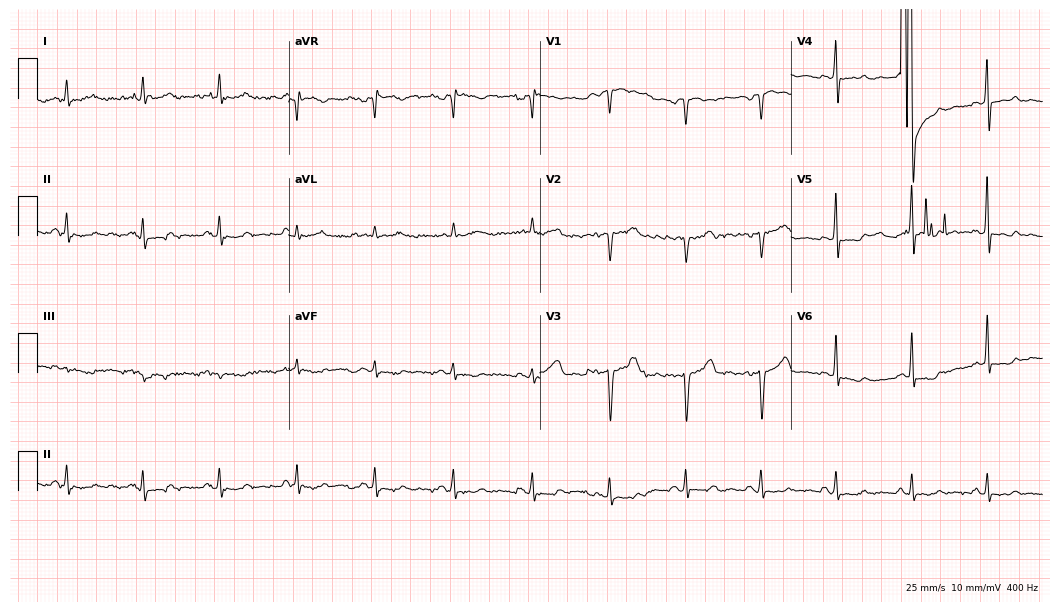
12-lead ECG from a male, 47 years old. Screened for six findings — first-degree AV block, right bundle branch block, left bundle branch block, sinus bradycardia, atrial fibrillation, sinus tachycardia — none is recorded. Only these six findings were labelled.